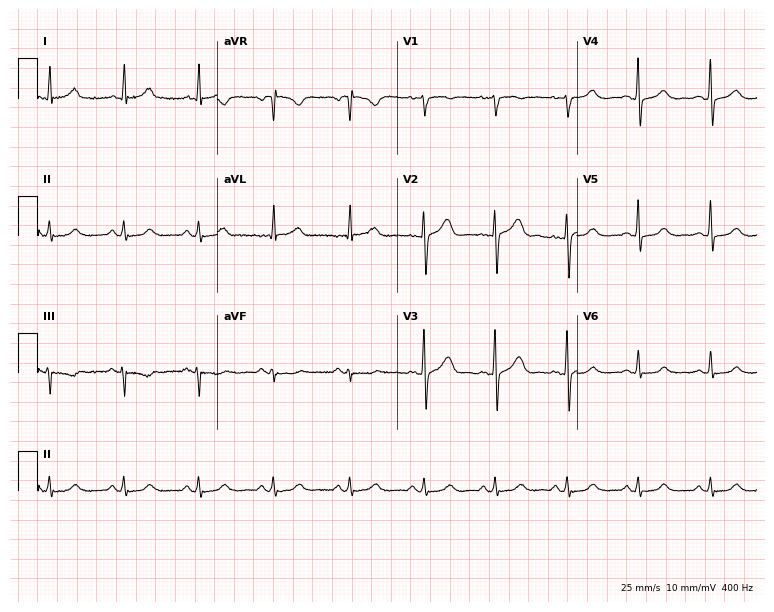
12-lead ECG (7.3-second recording at 400 Hz) from a female patient, 41 years old. Labelled as a normal ECG.